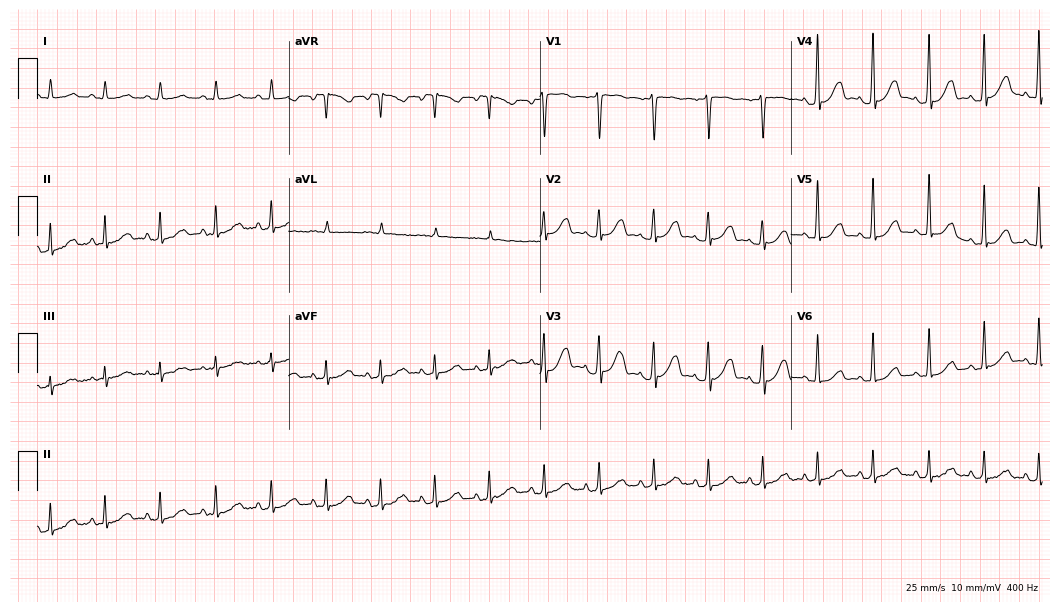
Electrocardiogram, a male, 39 years old. Interpretation includes sinus tachycardia (a sinus rate of 100 beats per minute or more).